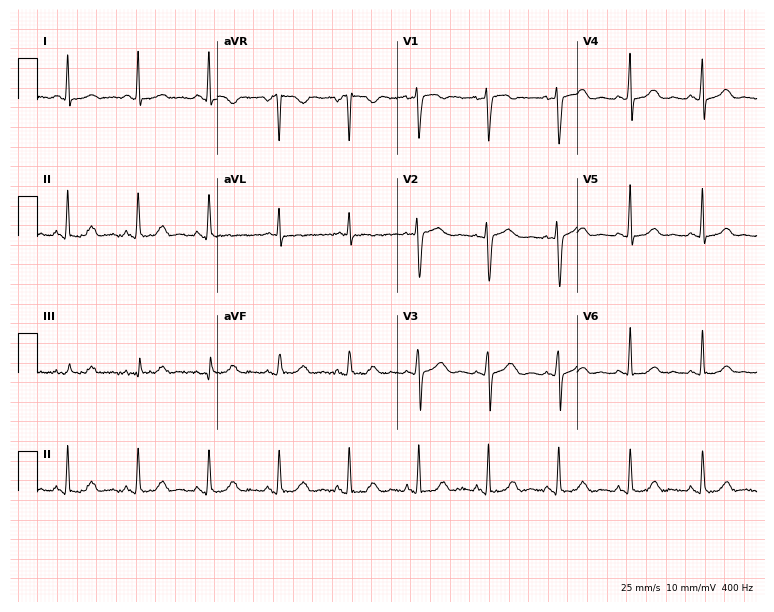
12-lead ECG from a 52-year-old woman. No first-degree AV block, right bundle branch block (RBBB), left bundle branch block (LBBB), sinus bradycardia, atrial fibrillation (AF) or sinus tachycardia recorded for this tracing. Findings outside these six are not listed.